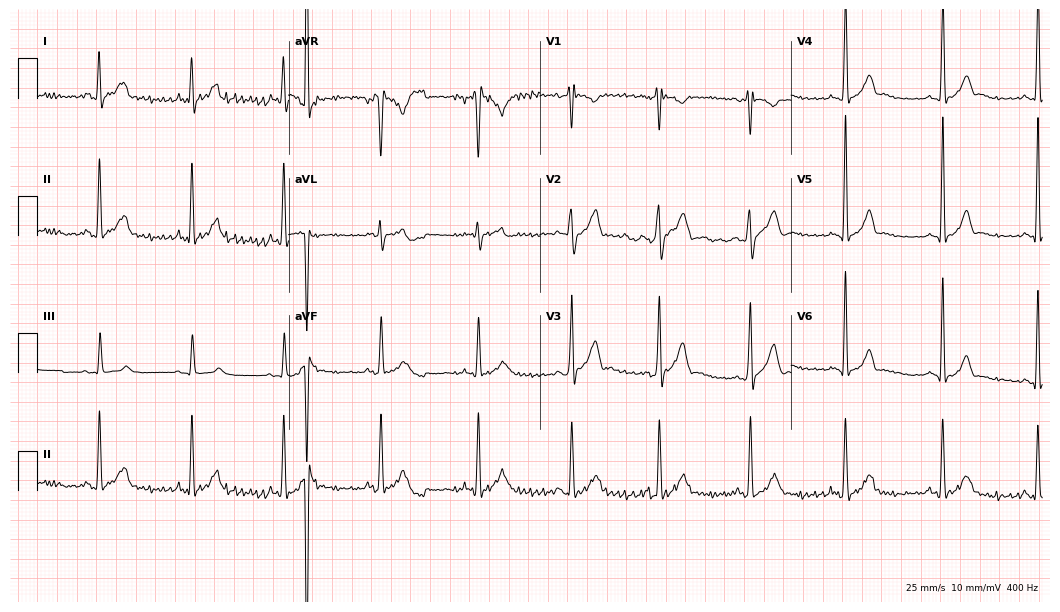
12-lead ECG from a male, 30 years old (10.2-second recording at 400 Hz). Recorded interpretation: within normal limits.